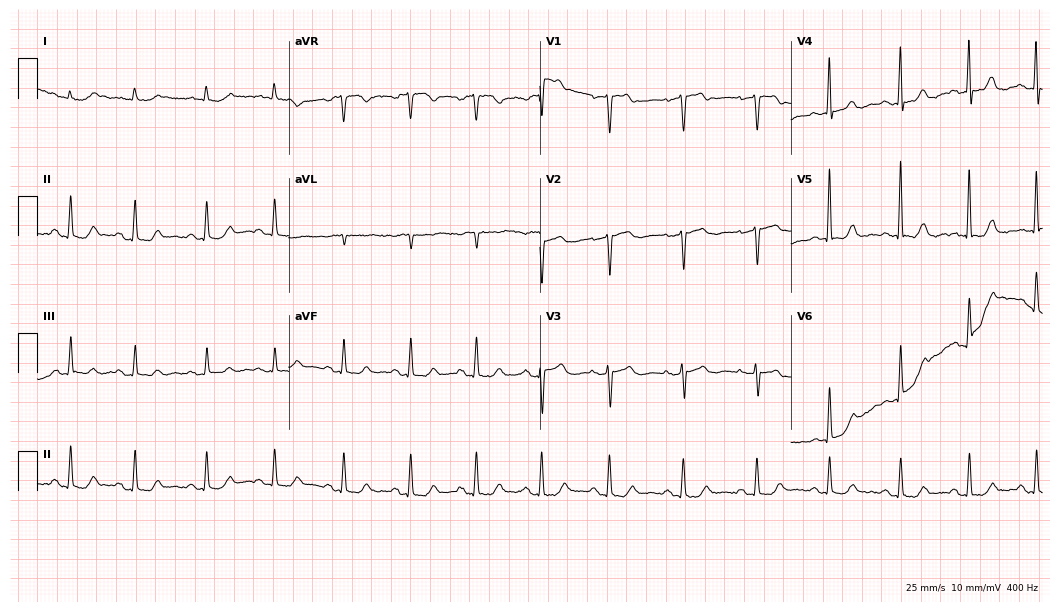
ECG (10.2-second recording at 400 Hz) — a 72-year-old female. Screened for six findings — first-degree AV block, right bundle branch block (RBBB), left bundle branch block (LBBB), sinus bradycardia, atrial fibrillation (AF), sinus tachycardia — none is recorded.